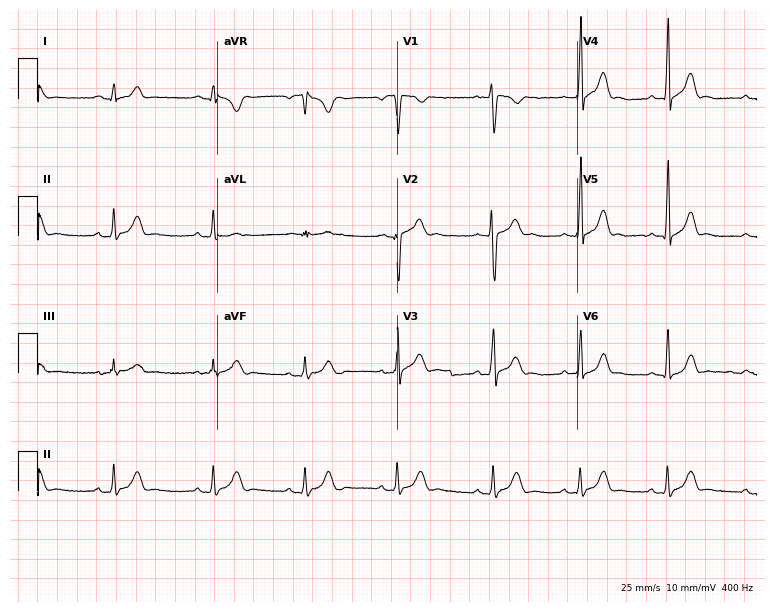
Standard 12-lead ECG recorded from a 21-year-old male patient. Read as a normal ECG.